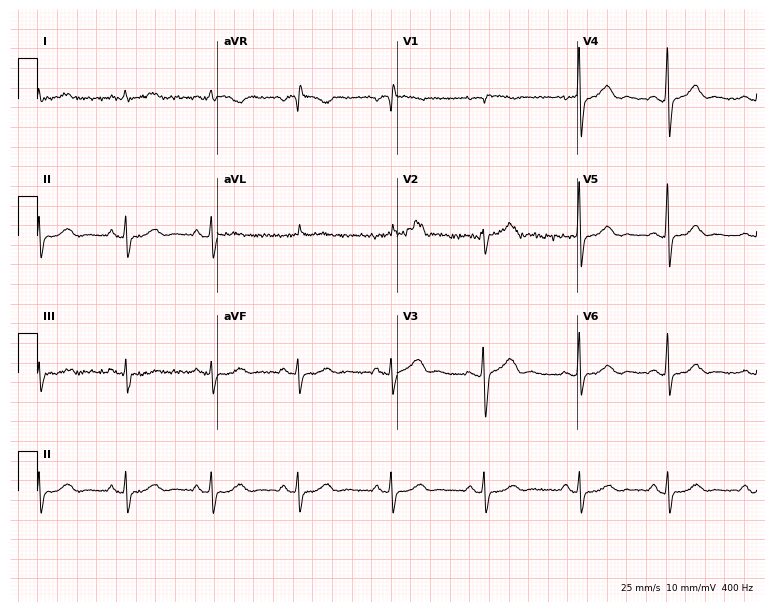
Electrocardiogram (7.3-second recording at 400 Hz), a female, 76 years old. Overall reading on record: normal ECG.